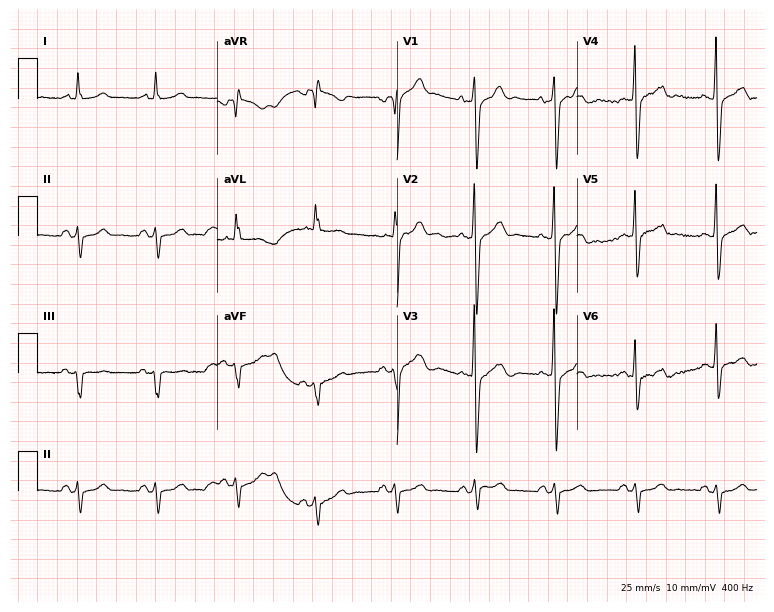
12-lead ECG from a male, 67 years old (7.3-second recording at 400 Hz). No first-degree AV block, right bundle branch block (RBBB), left bundle branch block (LBBB), sinus bradycardia, atrial fibrillation (AF) or sinus tachycardia recorded for this tracing.